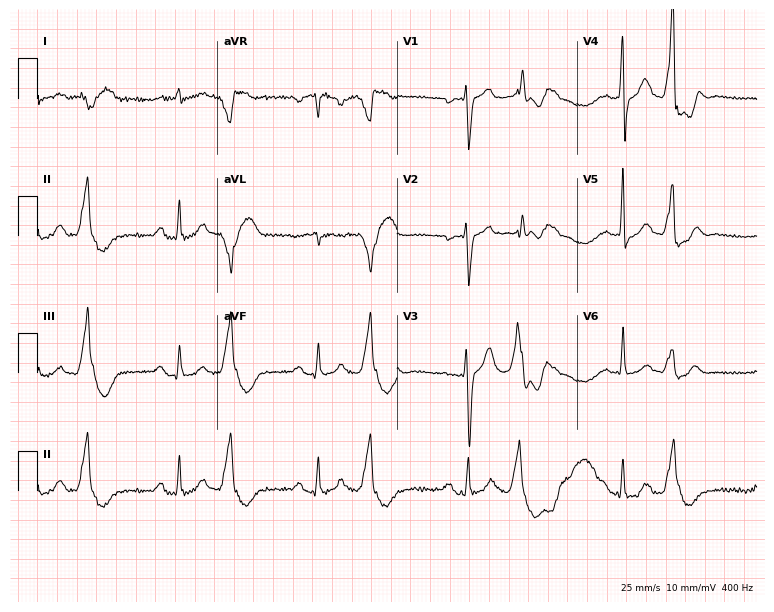
ECG (7.3-second recording at 400 Hz) — a 56-year-old male. Screened for six findings — first-degree AV block, right bundle branch block, left bundle branch block, sinus bradycardia, atrial fibrillation, sinus tachycardia — none is recorded. Other findings, if any, are not listed.